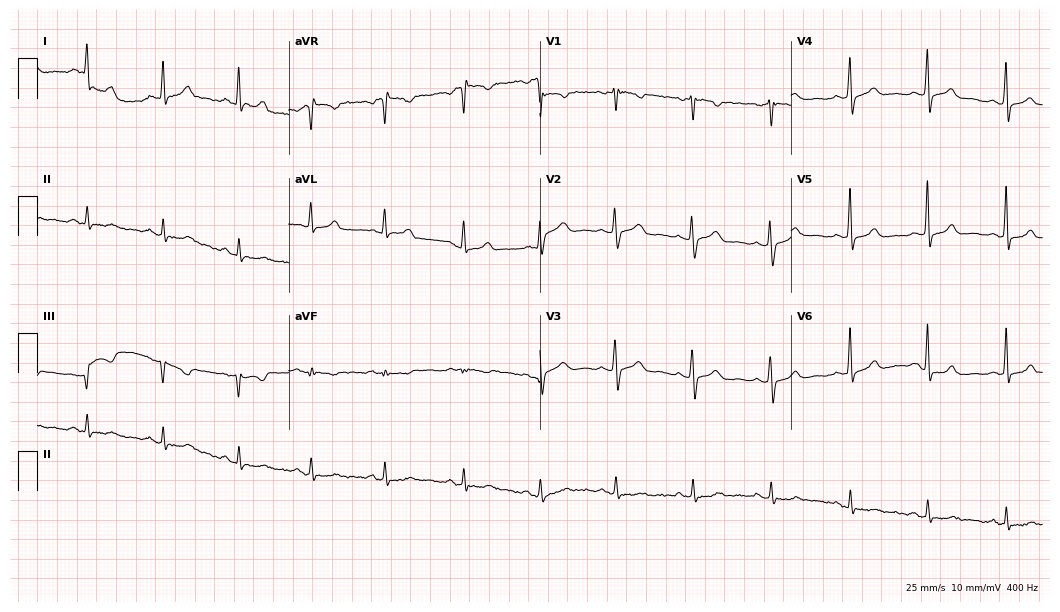
12-lead ECG from a 40-year-old woman. No first-degree AV block, right bundle branch block (RBBB), left bundle branch block (LBBB), sinus bradycardia, atrial fibrillation (AF) or sinus tachycardia recorded for this tracing.